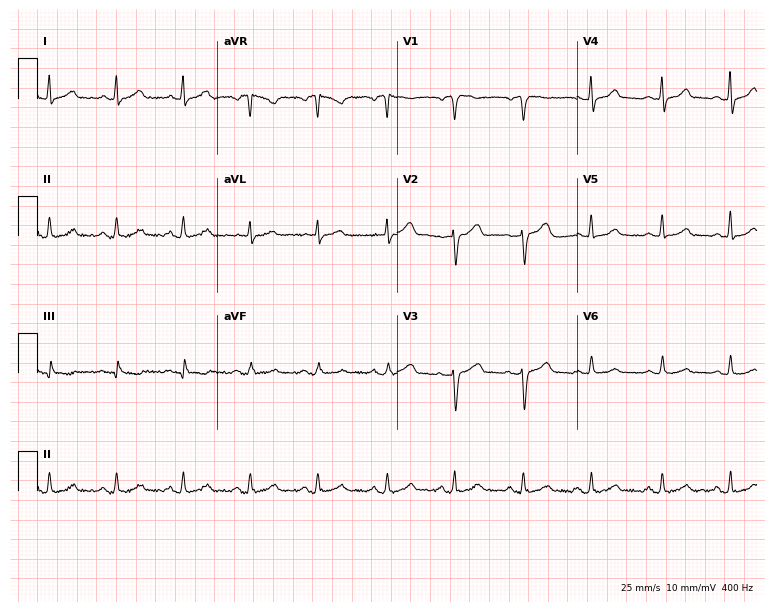
Electrocardiogram, a 49-year-old woman. Of the six screened findings (first-degree AV block, right bundle branch block, left bundle branch block, sinus bradycardia, atrial fibrillation, sinus tachycardia), none is recorded. Findings outside these six are not listed.